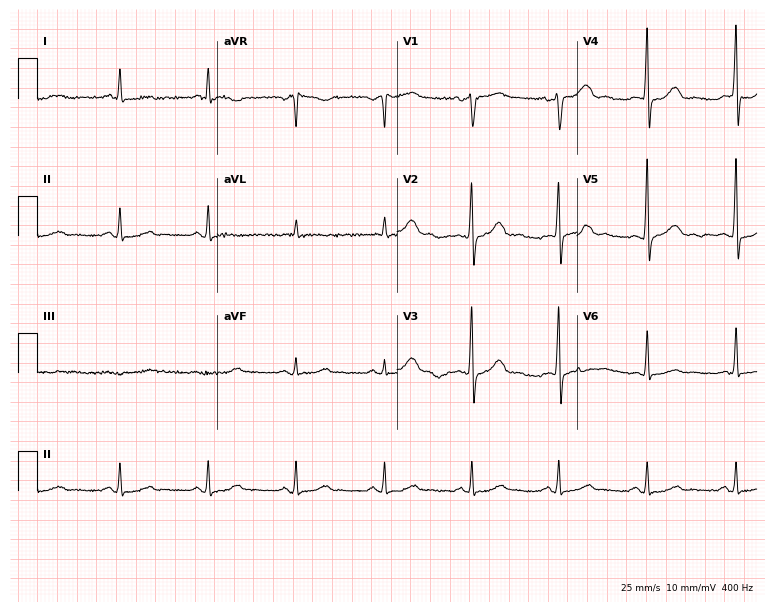
12-lead ECG from a man, 61 years old. No first-degree AV block, right bundle branch block, left bundle branch block, sinus bradycardia, atrial fibrillation or sinus tachycardia recorded for this tracing.